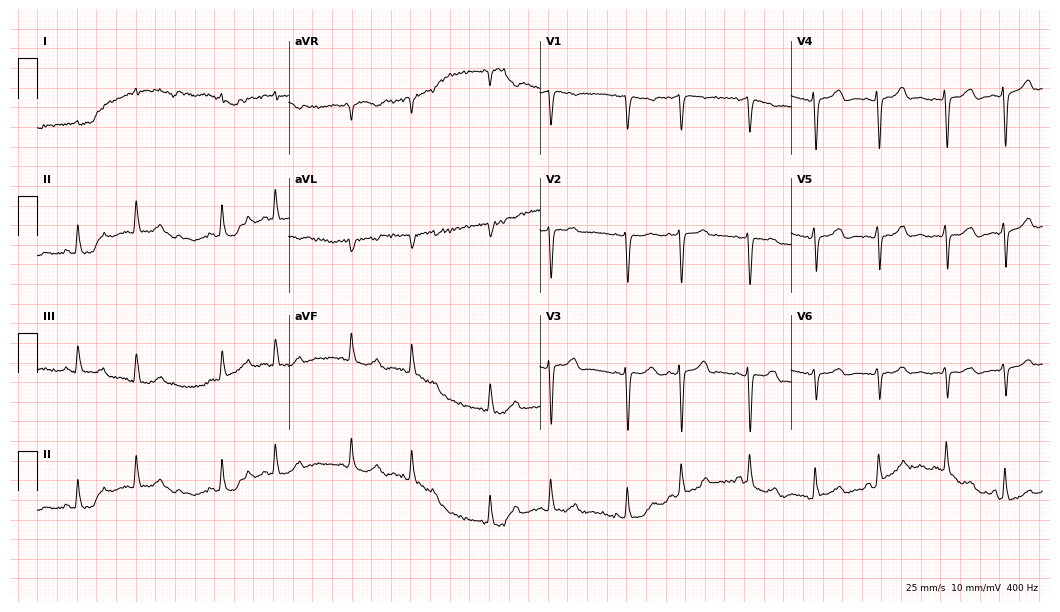
ECG (10.2-second recording at 400 Hz) — a male patient, 82 years old. Screened for six findings — first-degree AV block, right bundle branch block (RBBB), left bundle branch block (LBBB), sinus bradycardia, atrial fibrillation (AF), sinus tachycardia — none is recorded.